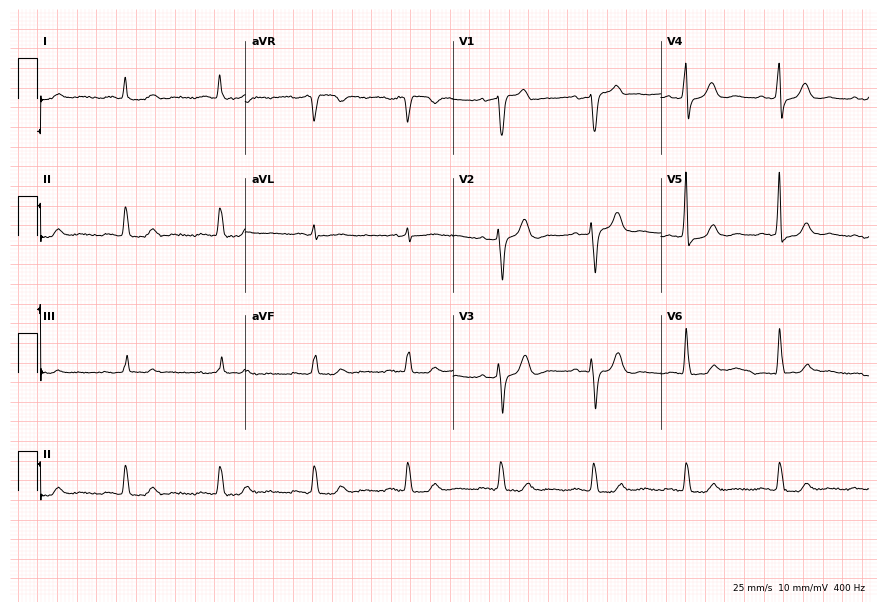
Resting 12-lead electrocardiogram (8.5-second recording at 400 Hz). Patient: a 78-year-old man. None of these six findings is recorded: first-degree AV block, right bundle branch block, left bundle branch block, sinus bradycardia, atrial fibrillation, sinus tachycardia. Other findings, if any, are not listed.